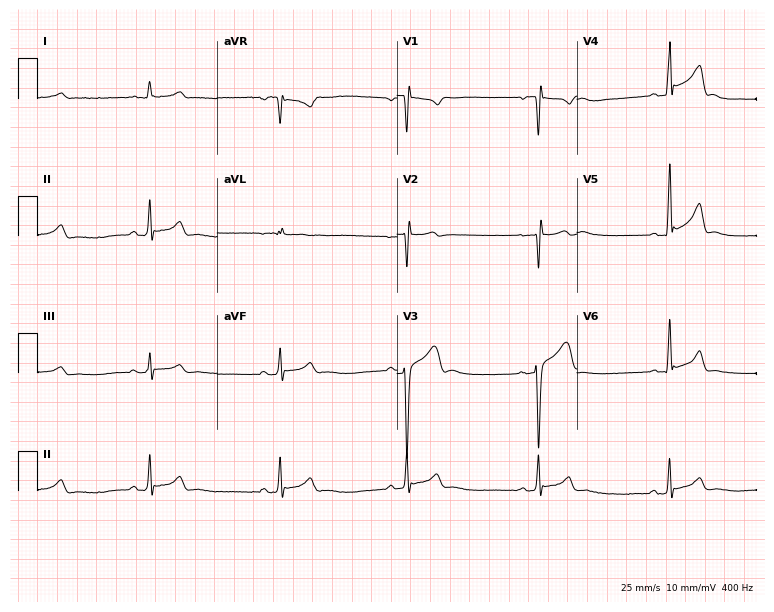
Resting 12-lead electrocardiogram. Patient: a male, 20 years old. The tracing shows sinus bradycardia (a sinus rate of 50 beats per minute or less).